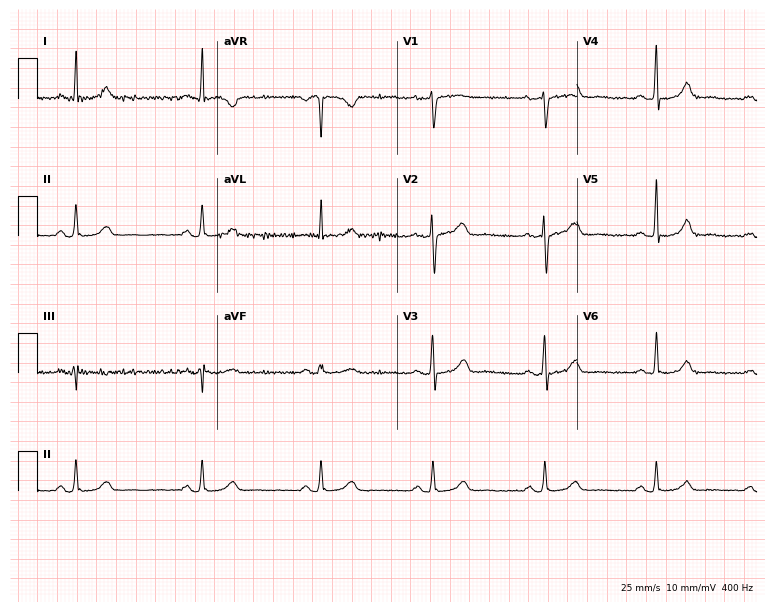
ECG (7.3-second recording at 400 Hz) — a female patient, 49 years old. Labelled as a normal ECG.